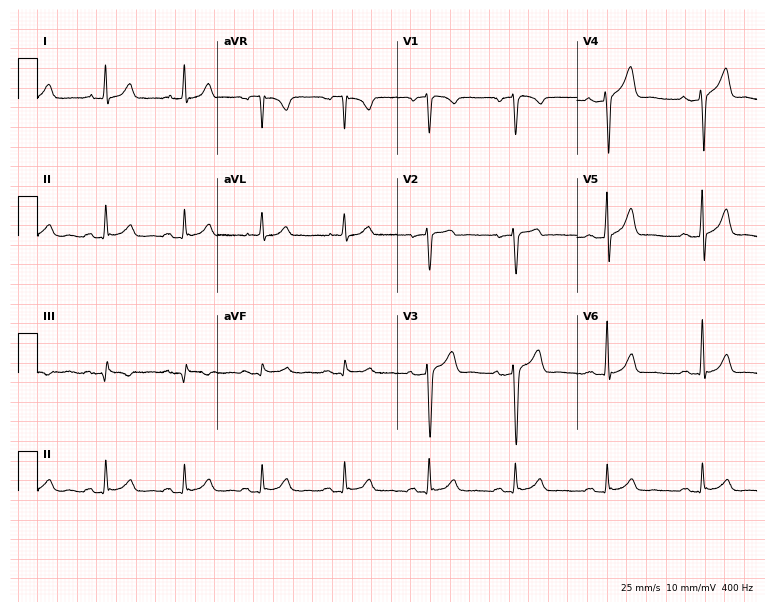
ECG (7.3-second recording at 400 Hz) — a 54-year-old man. Labelled as a normal ECG.